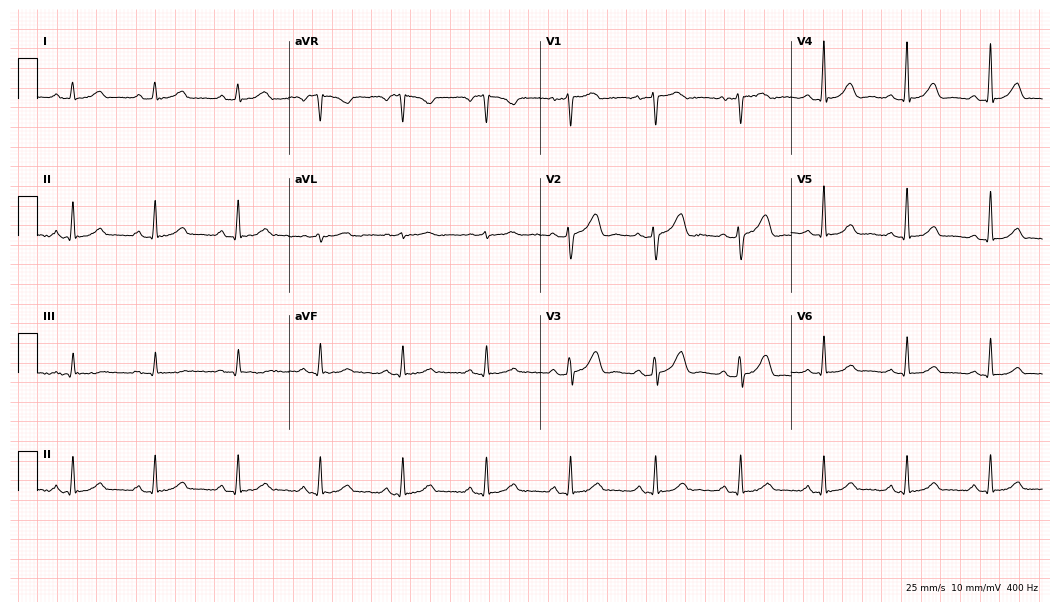
12-lead ECG from a 55-year-old female (10.2-second recording at 400 Hz). Recorded interpretation: within normal limits.